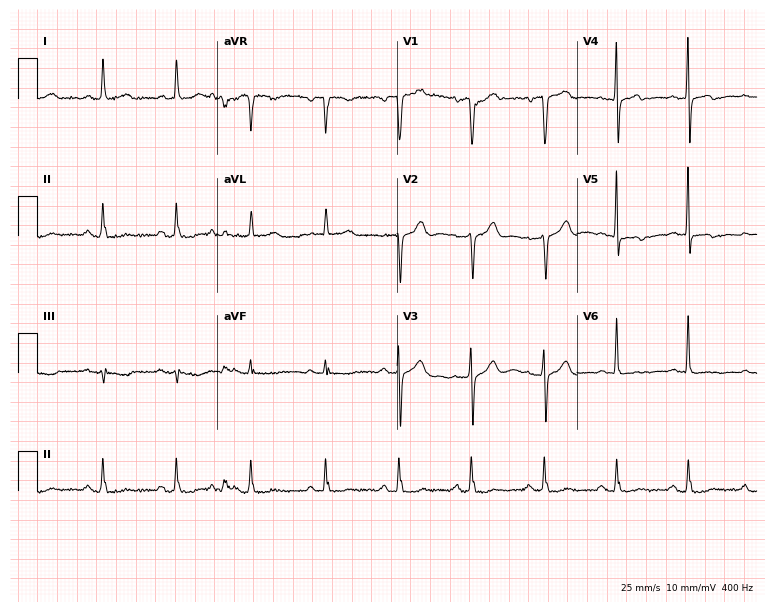
Standard 12-lead ECG recorded from a male, 77 years old (7.3-second recording at 400 Hz). None of these six findings is recorded: first-degree AV block, right bundle branch block (RBBB), left bundle branch block (LBBB), sinus bradycardia, atrial fibrillation (AF), sinus tachycardia. Other findings, if any, are not listed.